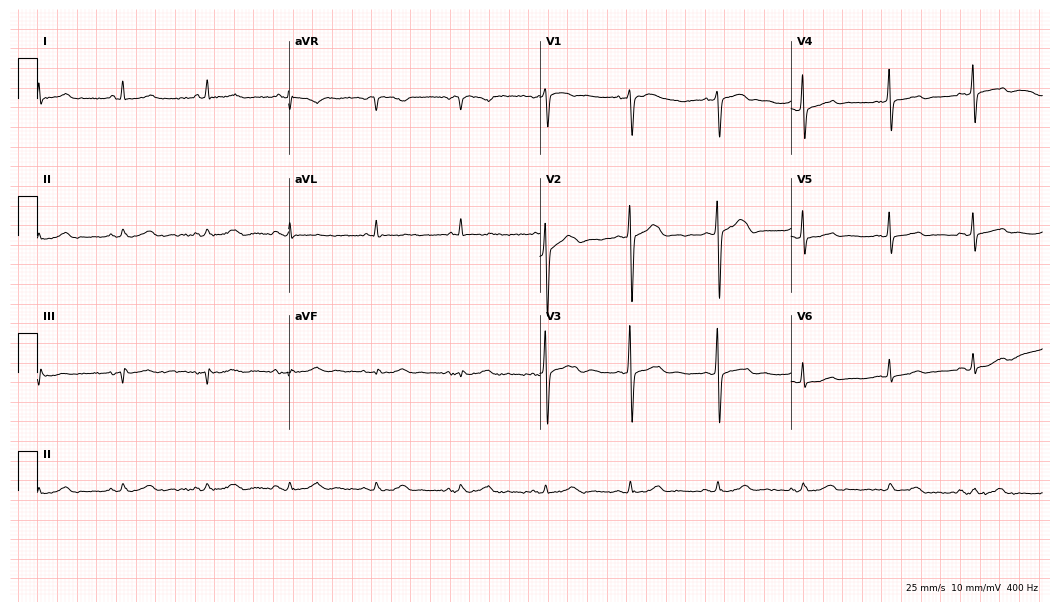
Resting 12-lead electrocardiogram. Patient: a woman, 65 years old. None of these six findings is recorded: first-degree AV block, right bundle branch block, left bundle branch block, sinus bradycardia, atrial fibrillation, sinus tachycardia. Other findings, if any, are not listed.